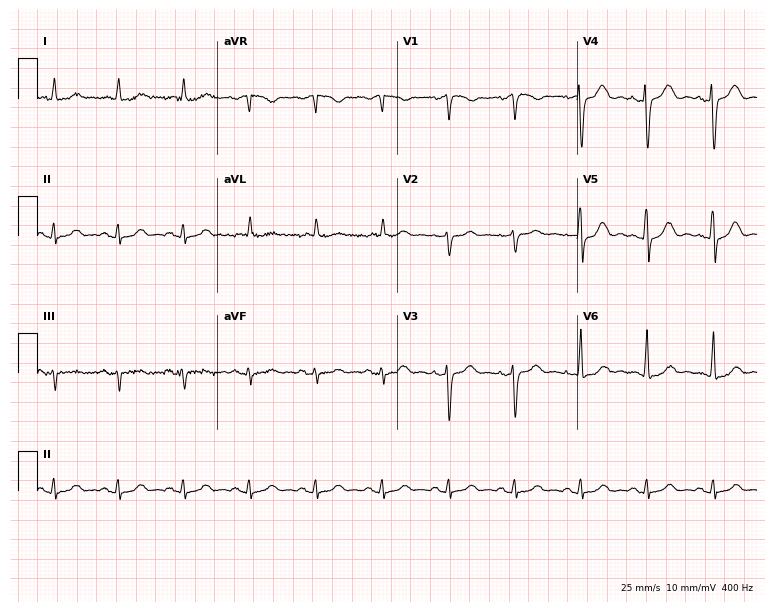
ECG — a 74-year-old female. Labelled as a normal ECG.